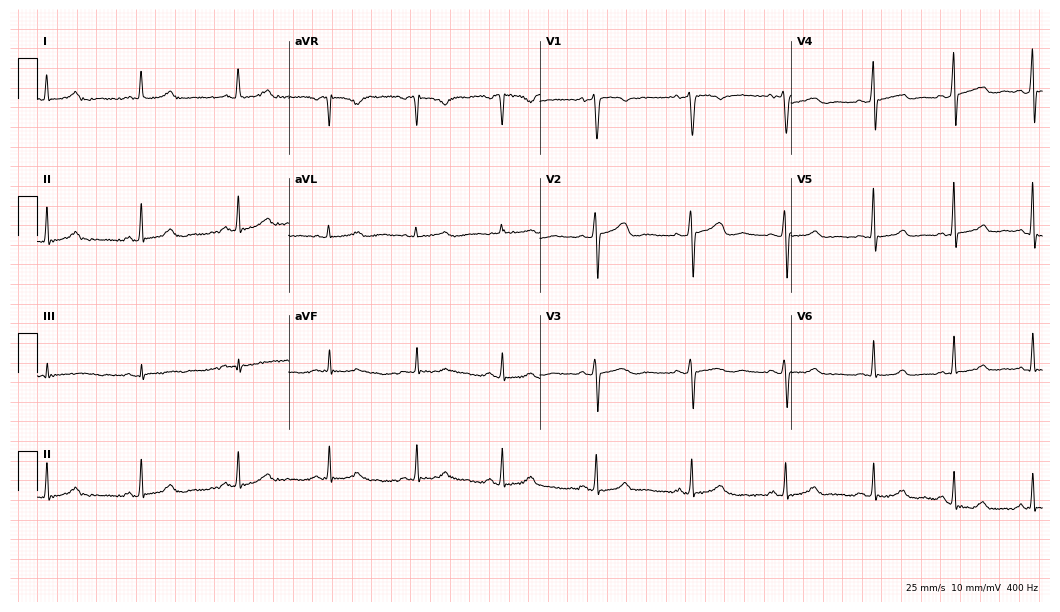
12-lead ECG from a female, 29 years old (10.2-second recording at 400 Hz). No first-degree AV block, right bundle branch block (RBBB), left bundle branch block (LBBB), sinus bradycardia, atrial fibrillation (AF) or sinus tachycardia recorded for this tracing. Findings outside these six are not listed.